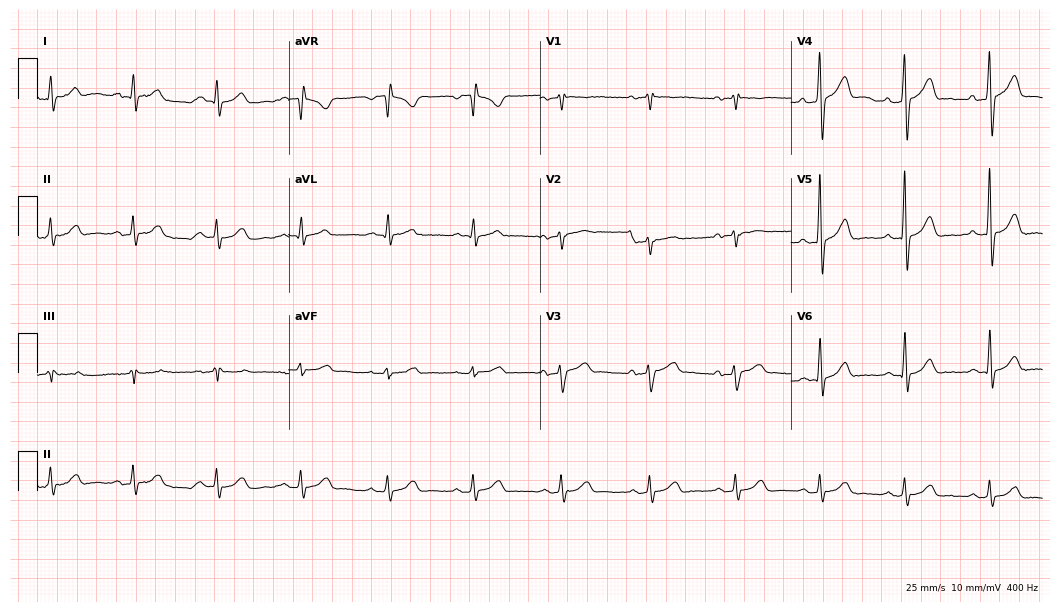
Standard 12-lead ECG recorded from a male patient, 54 years old. None of these six findings is recorded: first-degree AV block, right bundle branch block, left bundle branch block, sinus bradycardia, atrial fibrillation, sinus tachycardia. Other findings, if any, are not listed.